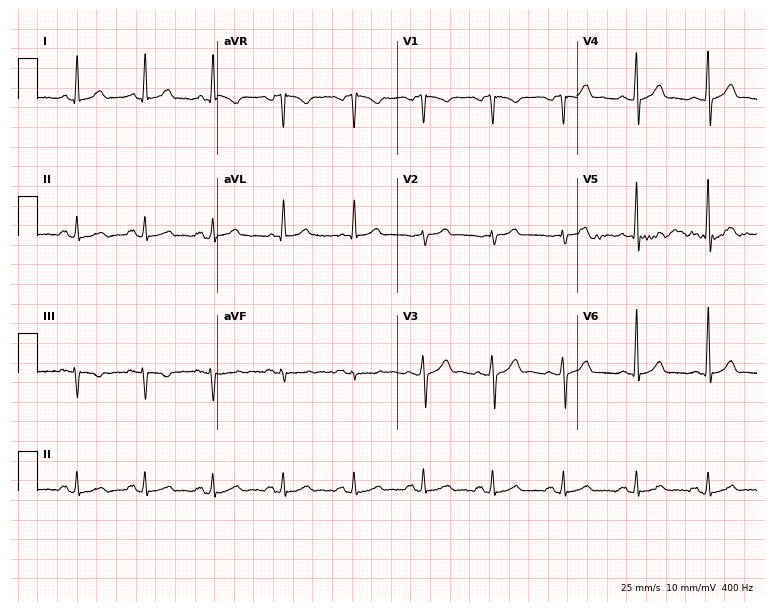
Resting 12-lead electrocardiogram (7.3-second recording at 400 Hz). Patient: a 52-year-old male. None of these six findings is recorded: first-degree AV block, right bundle branch block, left bundle branch block, sinus bradycardia, atrial fibrillation, sinus tachycardia.